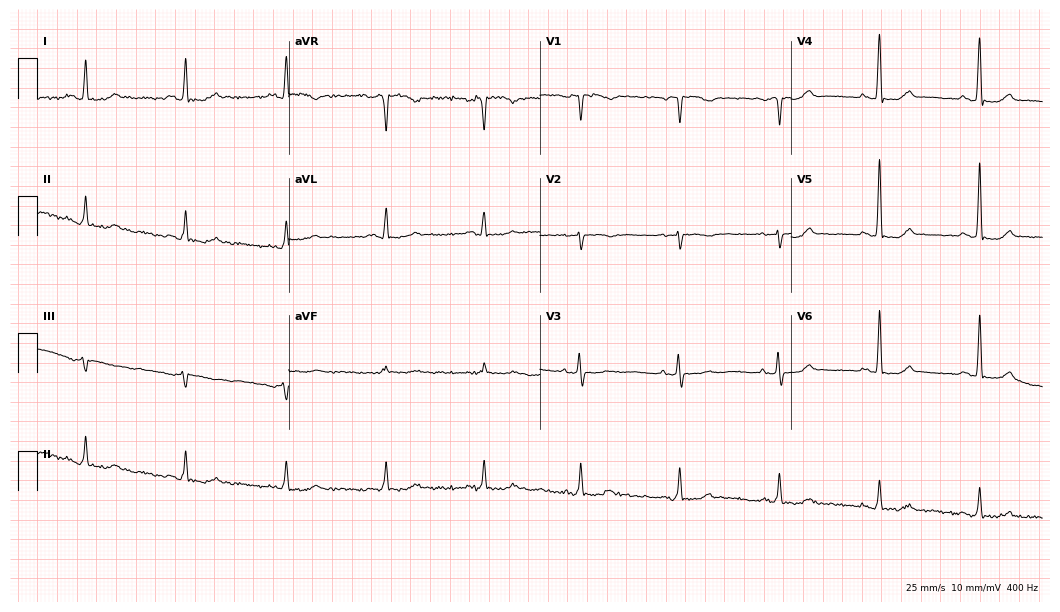
Standard 12-lead ECG recorded from a female patient, 69 years old. None of these six findings is recorded: first-degree AV block, right bundle branch block (RBBB), left bundle branch block (LBBB), sinus bradycardia, atrial fibrillation (AF), sinus tachycardia. Only these six findings were labelled.